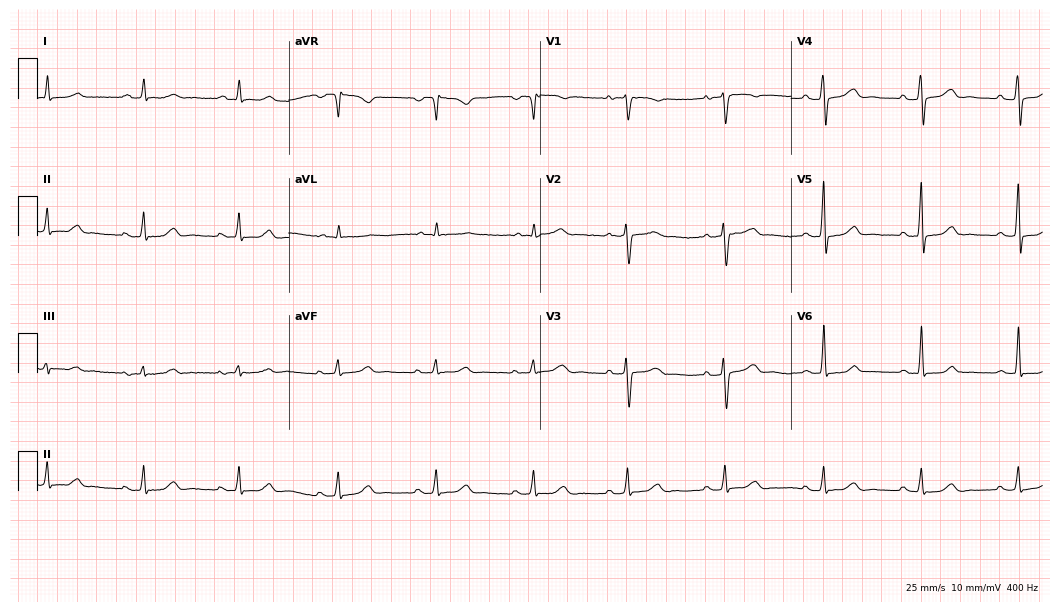
Resting 12-lead electrocardiogram (10.2-second recording at 400 Hz). Patient: a woman, 59 years old. Read as a normal ECG.